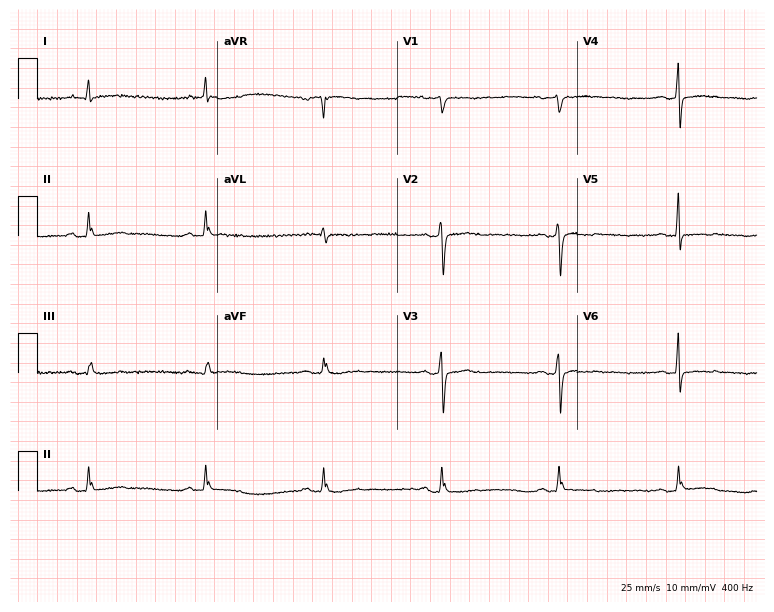
12-lead ECG (7.3-second recording at 400 Hz) from a 41-year-old woman. Screened for six findings — first-degree AV block, right bundle branch block, left bundle branch block, sinus bradycardia, atrial fibrillation, sinus tachycardia — none is recorded. Findings outside these six are not listed.